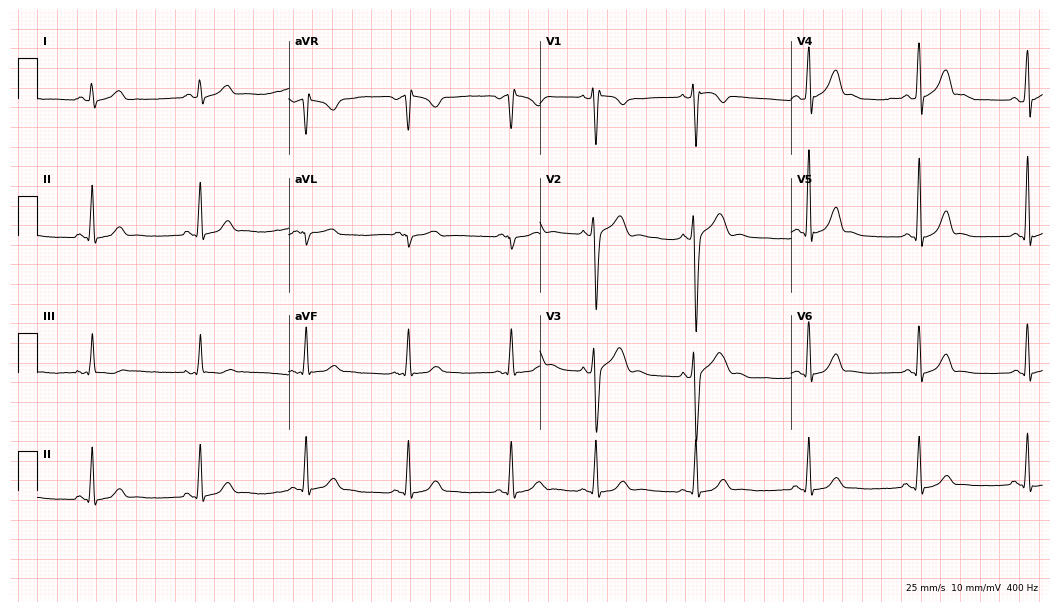
Resting 12-lead electrocardiogram (10.2-second recording at 400 Hz). Patient: a male, 25 years old. Read as a normal ECG.